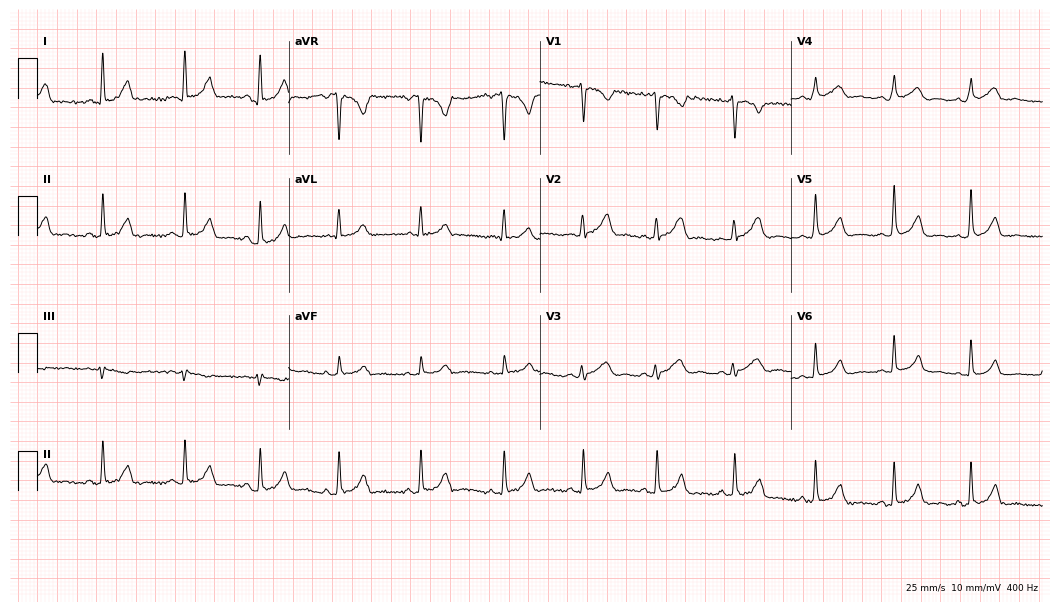
ECG (10.2-second recording at 400 Hz) — a 27-year-old woman. Labelled as a normal ECG.